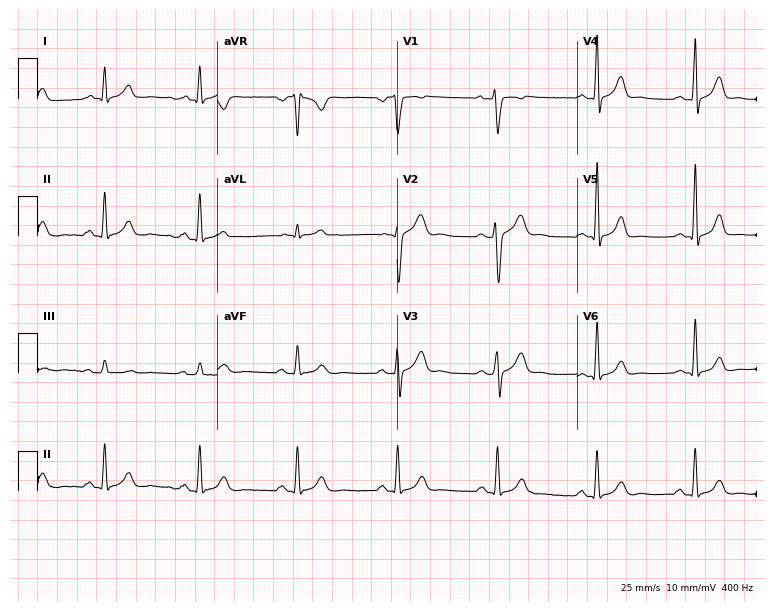
Electrocardiogram, a 50-year-old male. Of the six screened findings (first-degree AV block, right bundle branch block, left bundle branch block, sinus bradycardia, atrial fibrillation, sinus tachycardia), none is recorded. Only these six findings were labelled.